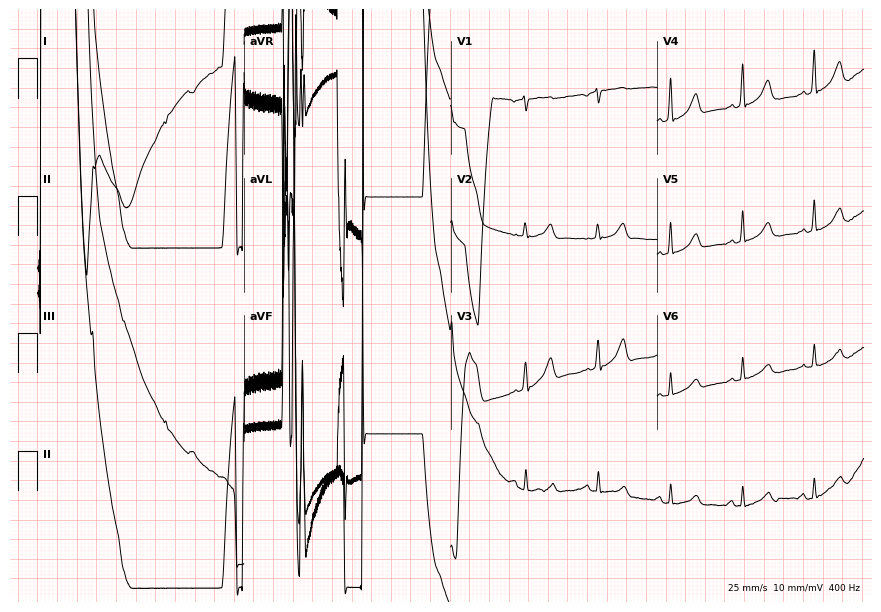
ECG (8.4-second recording at 400 Hz) — a woman, 46 years old. Screened for six findings — first-degree AV block, right bundle branch block, left bundle branch block, sinus bradycardia, atrial fibrillation, sinus tachycardia — none is recorded.